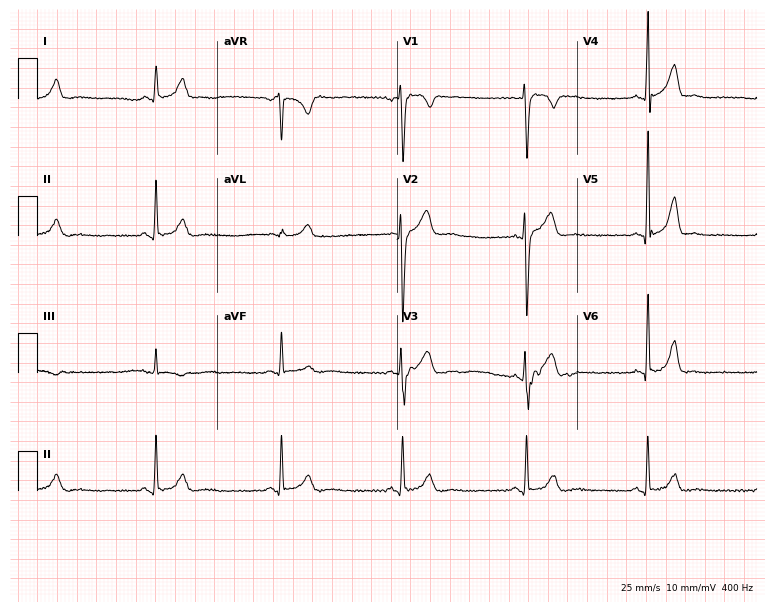
Electrocardiogram, a 23-year-old man. Of the six screened findings (first-degree AV block, right bundle branch block, left bundle branch block, sinus bradycardia, atrial fibrillation, sinus tachycardia), none is recorded.